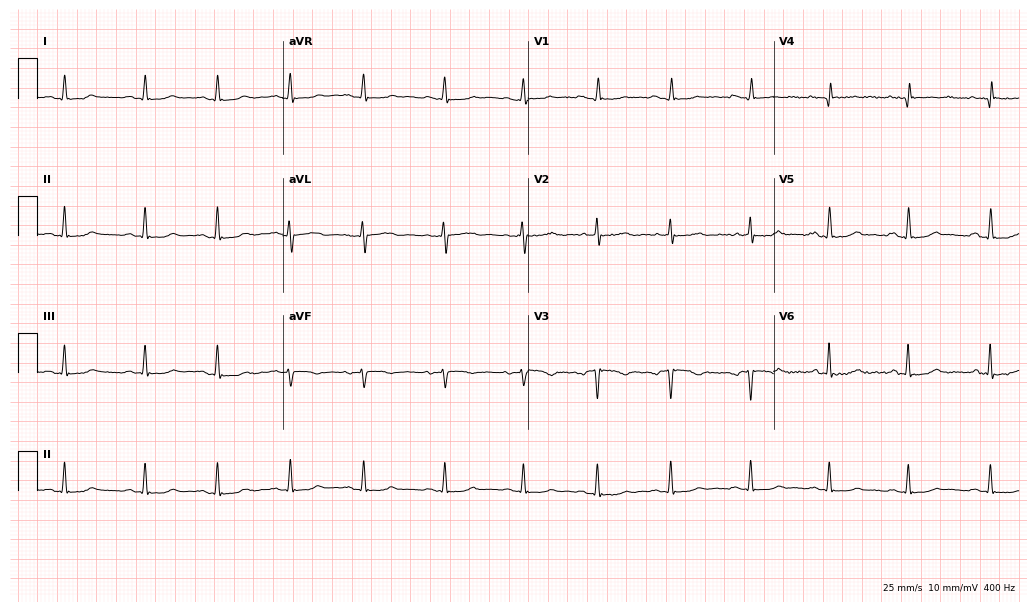
Electrocardiogram, a woman, 60 years old. Of the six screened findings (first-degree AV block, right bundle branch block (RBBB), left bundle branch block (LBBB), sinus bradycardia, atrial fibrillation (AF), sinus tachycardia), none is recorded.